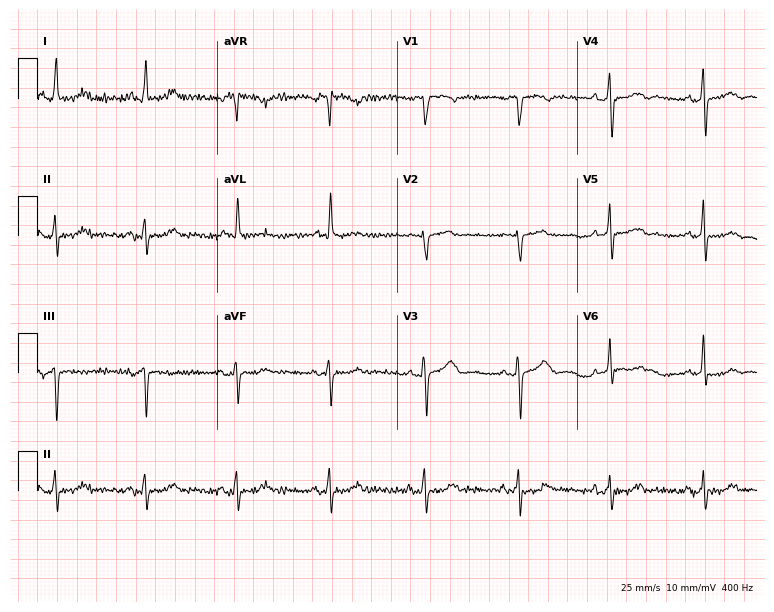
Standard 12-lead ECG recorded from a female, 76 years old. Read as a normal ECG.